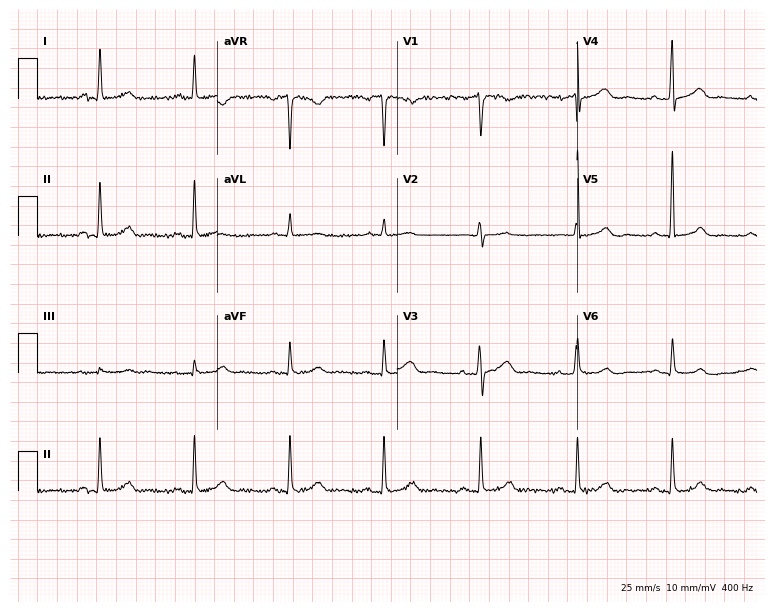
12-lead ECG from a female patient, 62 years old. Screened for six findings — first-degree AV block, right bundle branch block, left bundle branch block, sinus bradycardia, atrial fibrillation, sinus tachycardia — none is recorded.